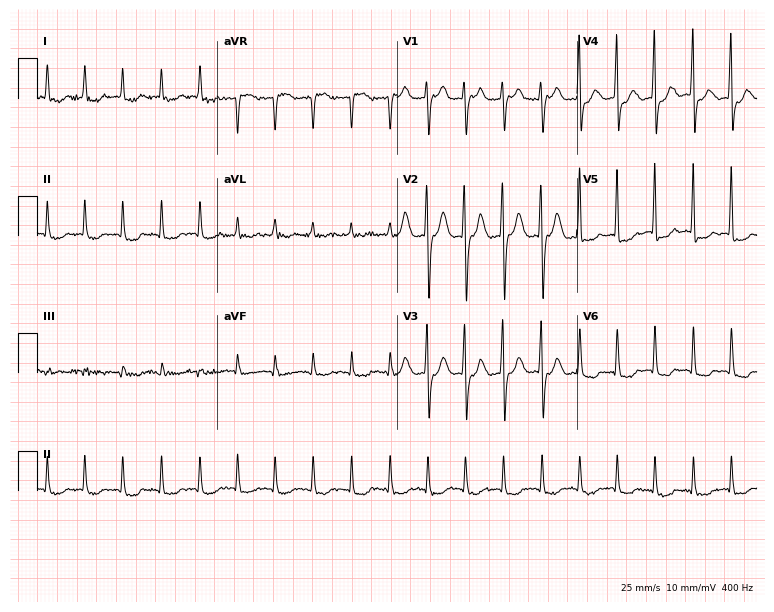
12-lead ECG from a female, 82 years old. Screened for six findings — first-degree AV block, right bundle branch block, left bundle branch block, sinus bradycardia, atrial fibrillation, sinus tachycardia — none is recorded.